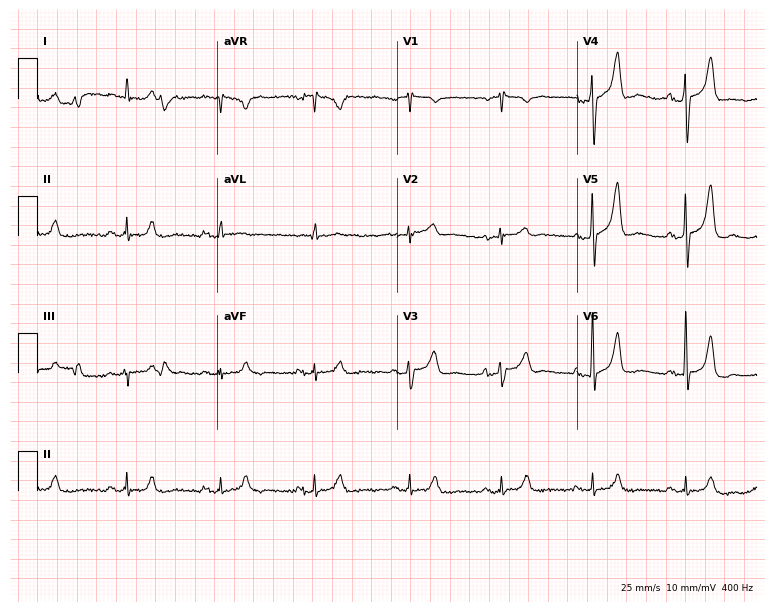
Electrocardiogram (7.3-second recording at 400 Hz), a male, 76 years old. Of the six screened findings (first-degree AV block, right bundle branch block, left bundle branch block, sinus bradycardia, atrial fibrillation, sinus tachycardia), none is recorded.